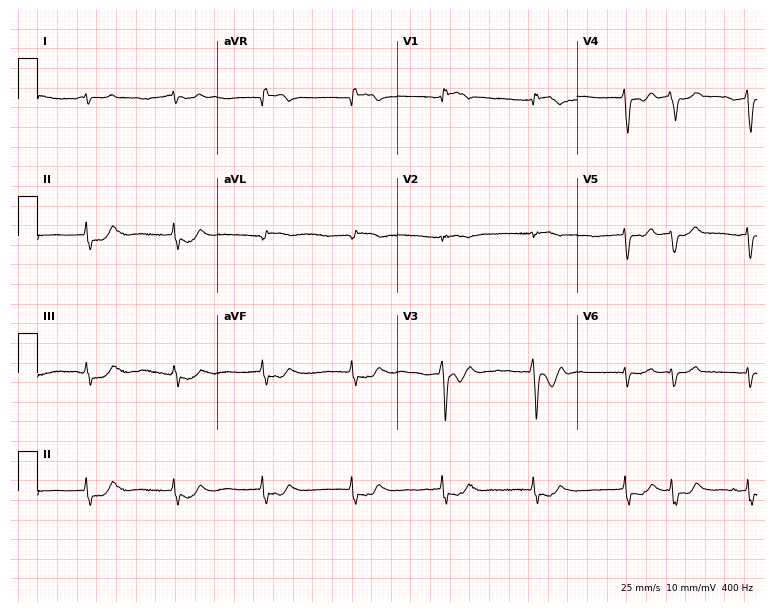
12-lead ECG from a male, 77 years old (7.3-second recording at 400 Hz). No first-degree AV block, right bundle branch block (RBBB), left bundle branch block (LBBB), sinus bradycardia, atrial fibrillation (AF) or sinus tachycardia recorded for this tracing.